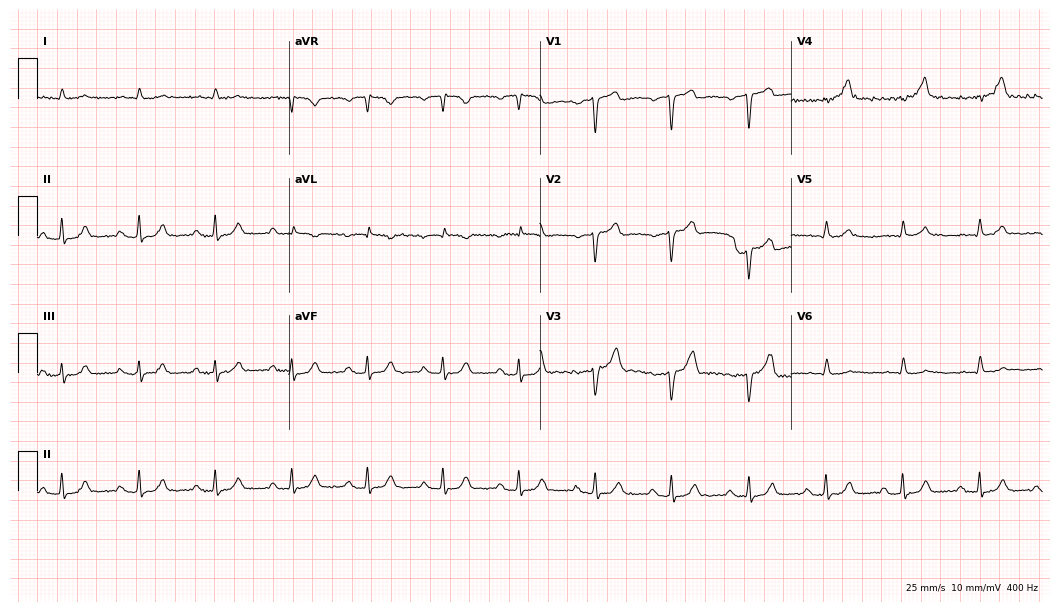
12-lead ECG from a man, 82 years old. Shows first-degree AV block.